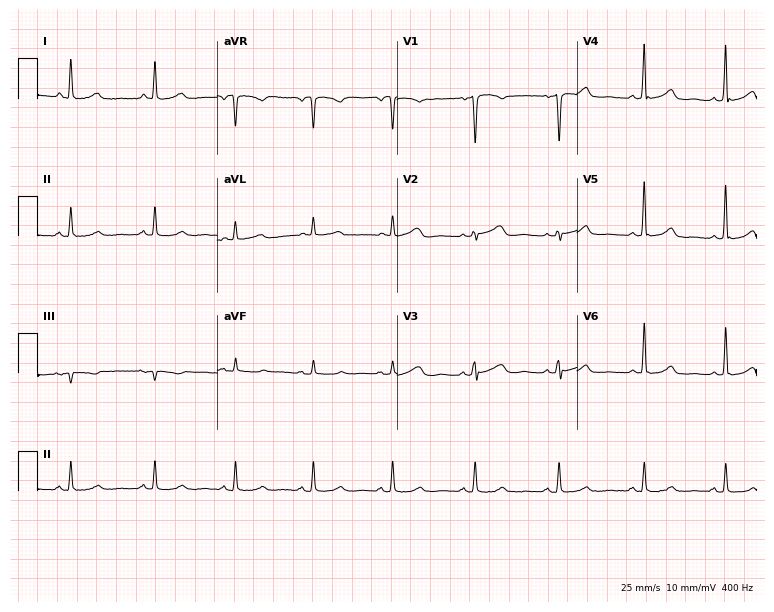
Resting 12-lead electrocardiogram. Patient: a female, 47 years old. None of these six findings is recorded: first-degree AV block, right bundle branch block, left bundle branch block, sinus bradycardia, atrial fibrillation, sinus tachycardia. Findings outside these six are not listed.